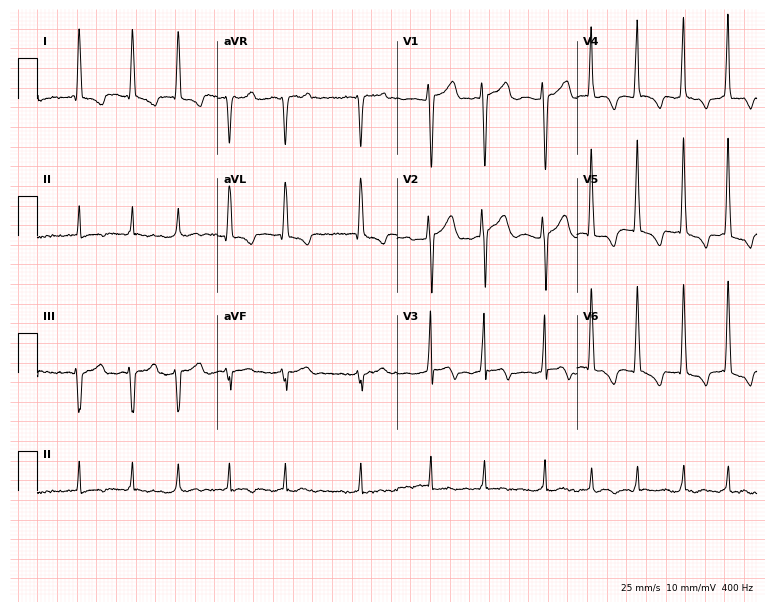
Resting 12-lead electrocardiogram. Patient: a 71-year-old female. The tracing shows atrial fibrillation.